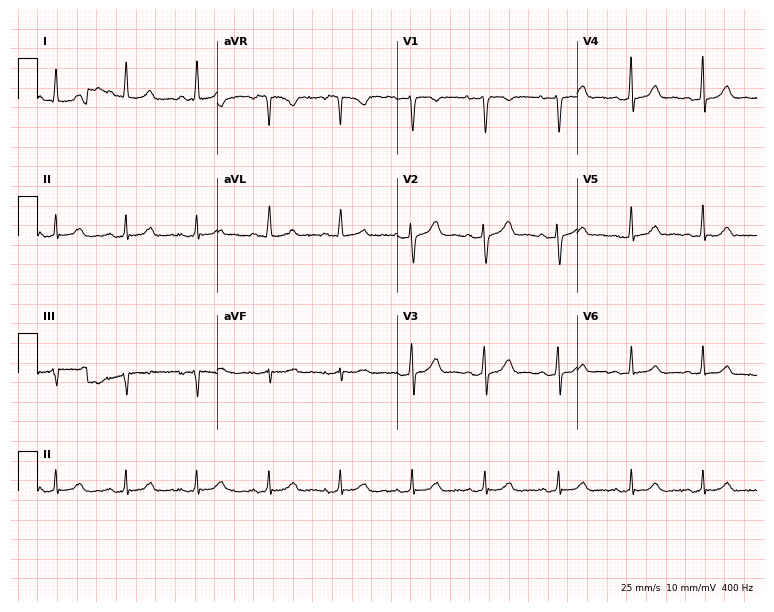
ECG — a female patient, 42 years old. Screened for six findings — first-degree AV block, right bundle branch block, left bundle branch block, sinus bradycardia, atrial fibrillation, sinus tachycardia — none is recorded.